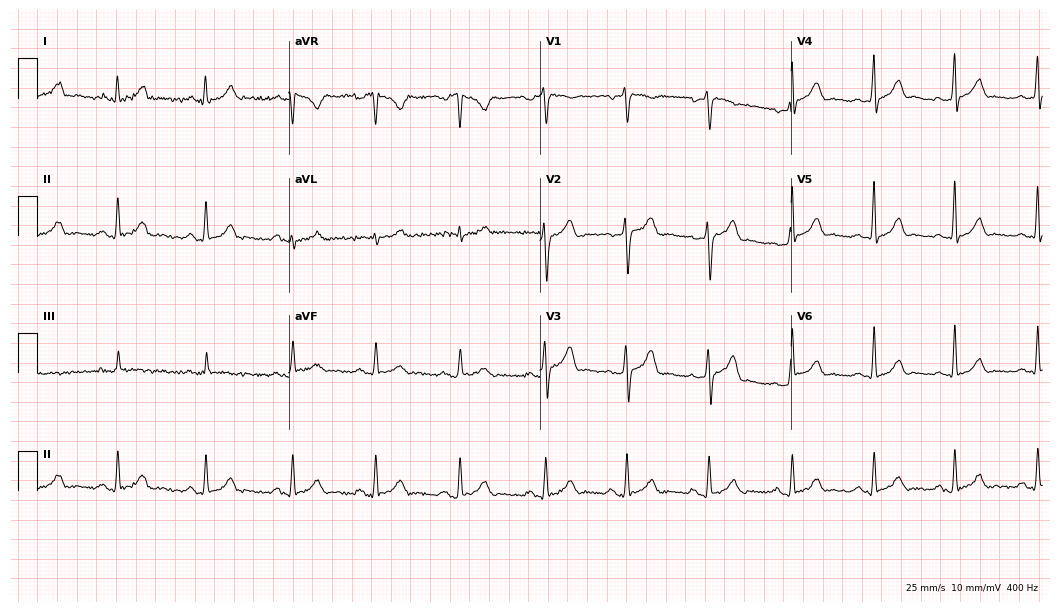
Resting 12-lead electrocardiogram (10.2-second recording at 400 Hz). Patient: a 31-year-old male. Read as a normal ECG.